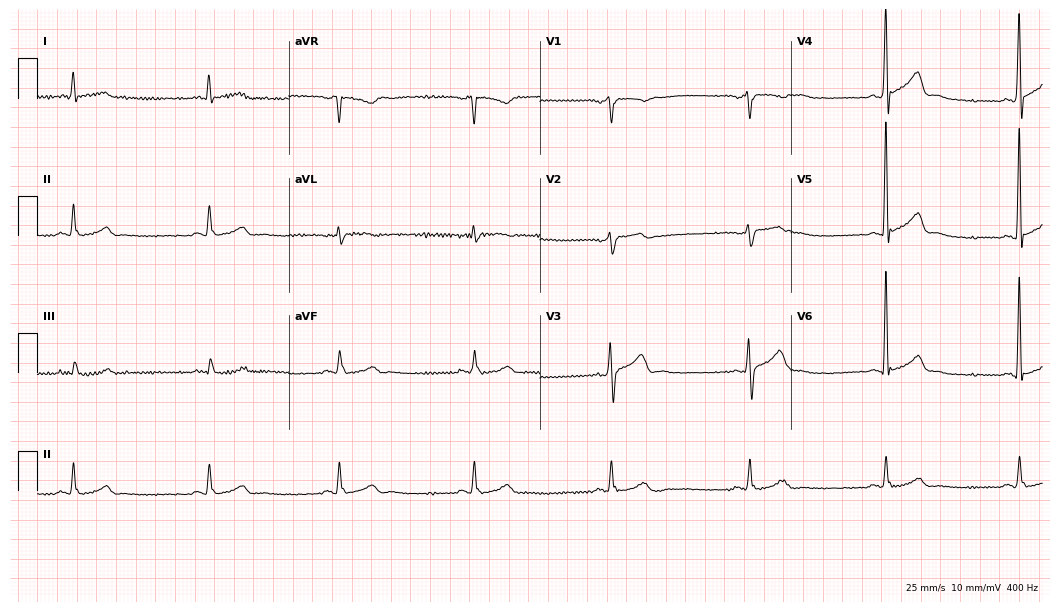
ECG — a male patient, 57 years old. Findings include sinus bradycardia (a sinus rate of 50 beats per minute or less).